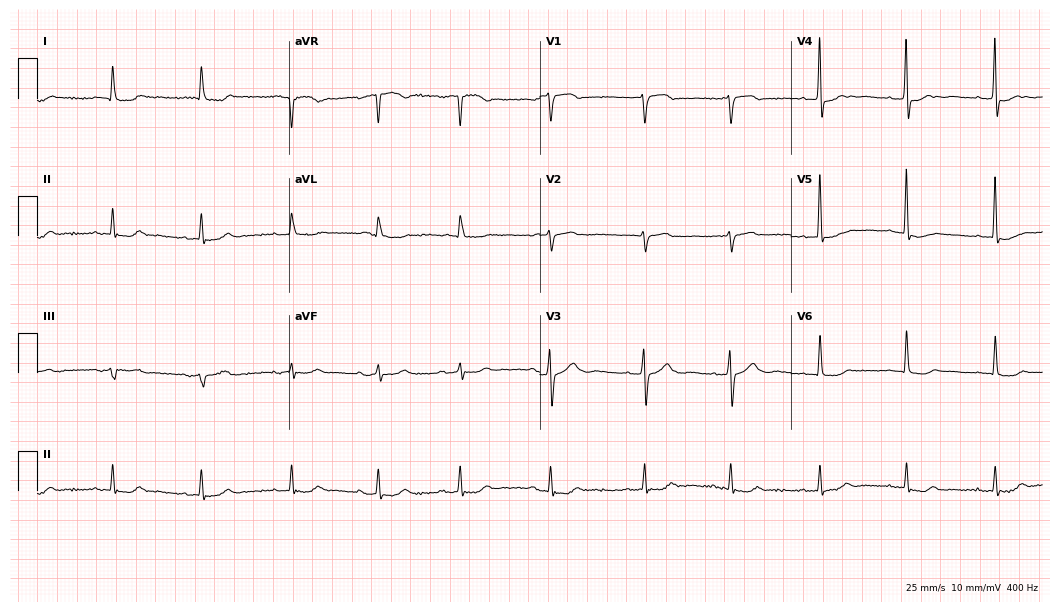
Electrocardiogram (10.2-second recording at 400 Hz), a woman, 84 years old. Of the six screened findings (first-degree AV block, right bundle branch block, left bundle branch block, sinus bradycardia, atrial fibrillation, sinus tachycardia), none is recorded. Only these six findings were labelled.